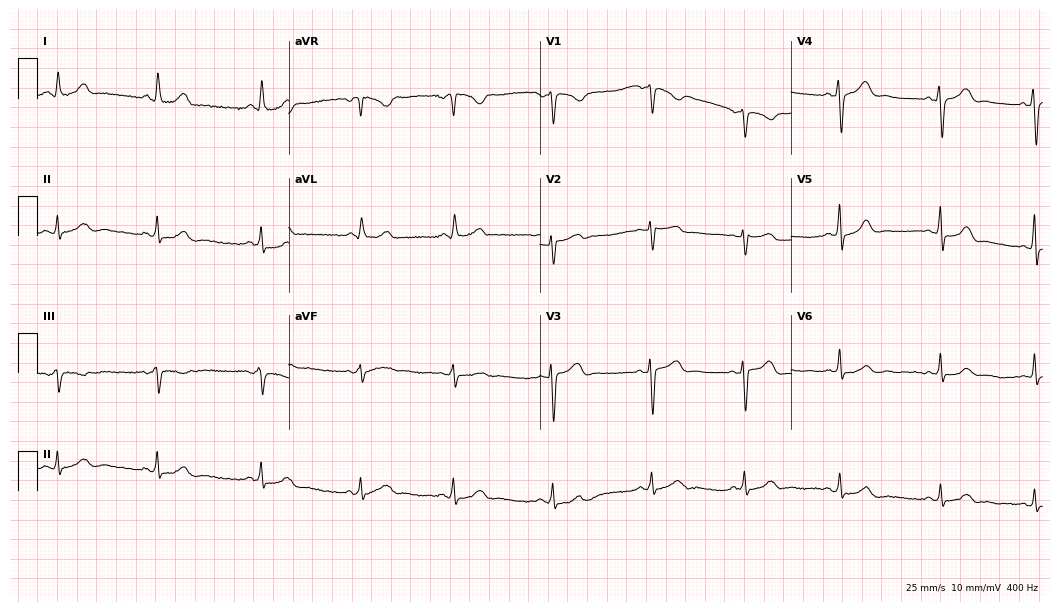
Resting 12-lead electrocardiogram. Patient: a female, 43 years old. None of these six findings is recorded: first-degree AV block, right bundle branch block, left bundle branch block, sinus bradycardia, atrial fibrillation, sinus tachycardia.